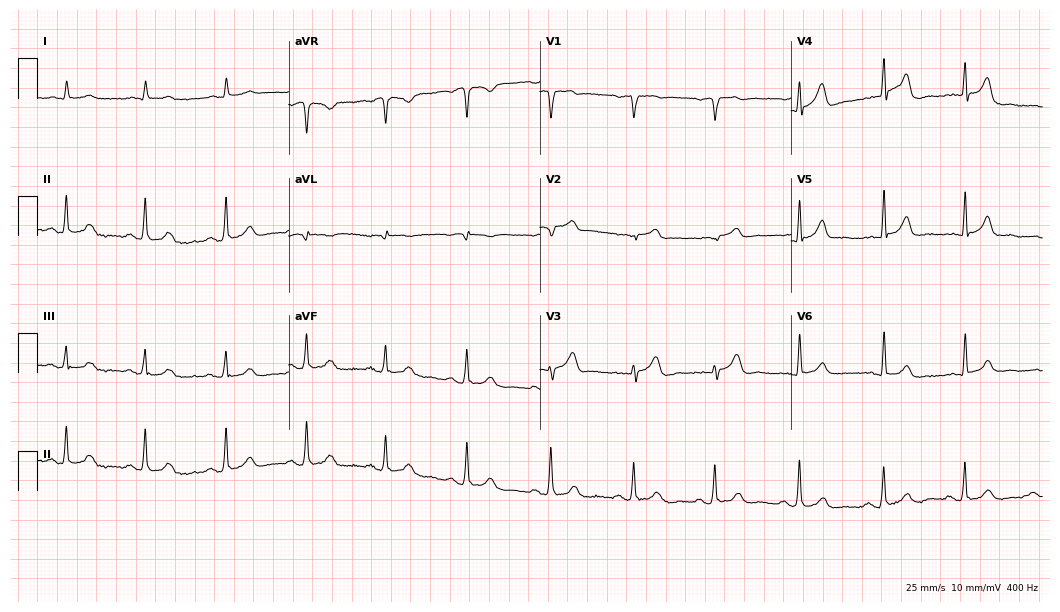
Resting 12-lead electrocardiogram (10.2-second recording at 400 Hz). Patient: a 69-year-old man. Read as a normal ECG.